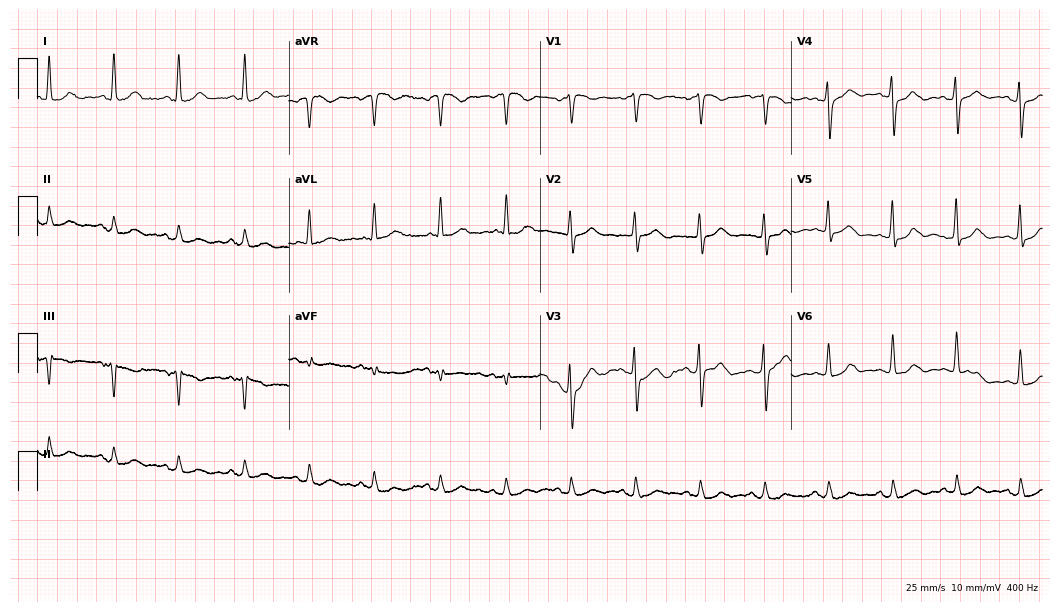
12-lead ECG (10.2-second recording at 400 Hz) from a 79-year-old woman. Screened for six findings — first-degree AV block, right bundle branch block (RBBB), left bundle branch block (LBBB), sinus bradycardia, atrial fibrillation (AF), sinus tachycardia — none is recorded.